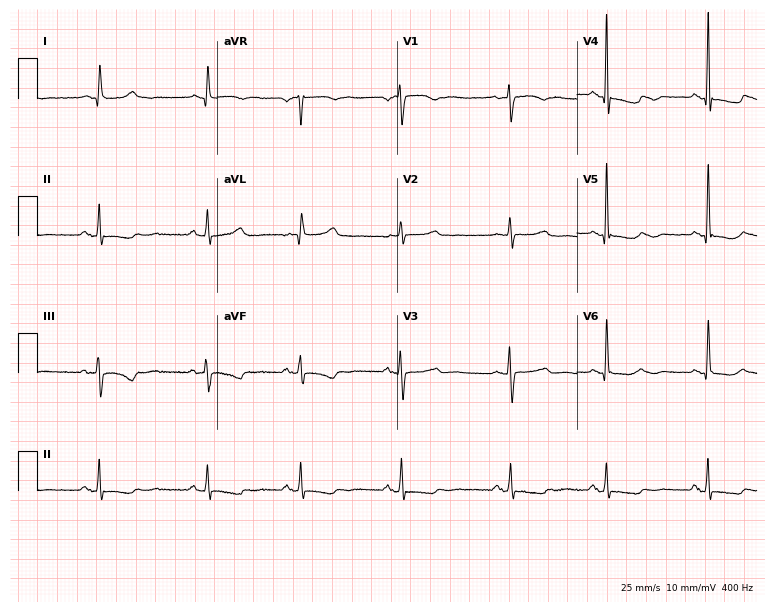
Electrocardiogram (7.3-second recording at 400 Hz), a woman, 68 years old. Of the six screened findings (first-degree AV block, right bundle branch block, left bundle branch block, sinus bradycardia, atrial fibrillation, sinus tachycardia), none is recorded.